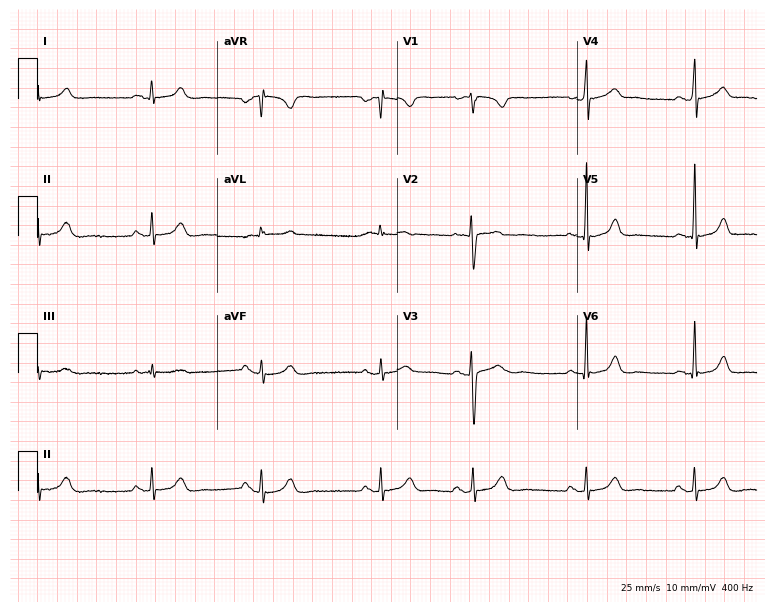
Standard 12-lead ECG recorded from a woman, 26 years old. None of these six findings is recorded: first-degree AV block, right bundle branch block, left bundle branch block, sinus bradycardia, atrial fibrillation, sinus tachycardia. Other findings, if any, are not listed.